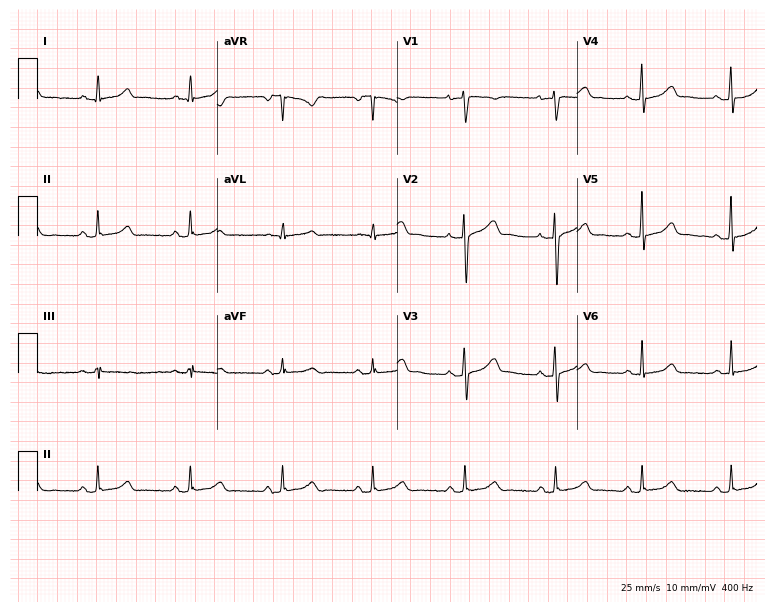
12-lead ECG from a woman, 33 years old. No first-degree AV block, right bundle branch block, left bundle branch block, sinus bradycardia, atrial fibrillation or sinus tachycardia recorded for this tracing. Other findings, if any, are not listed.